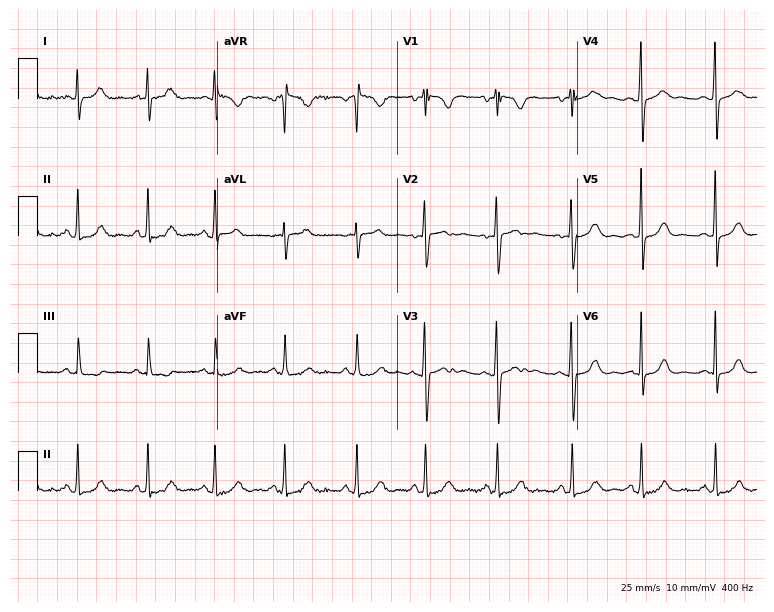
ECG (7.3-second recording at 400 Hz) — a 30-year-old woman. Labelled as a normal ECG.